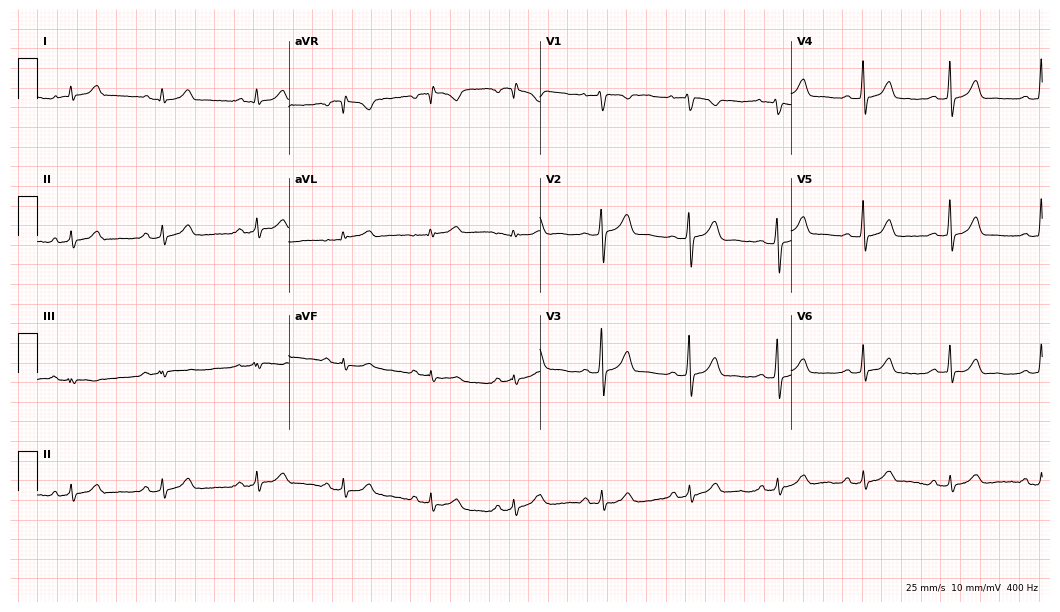
12-lead ECG from a female patient, 35 years old. Recorded interpretation: within normal limits.